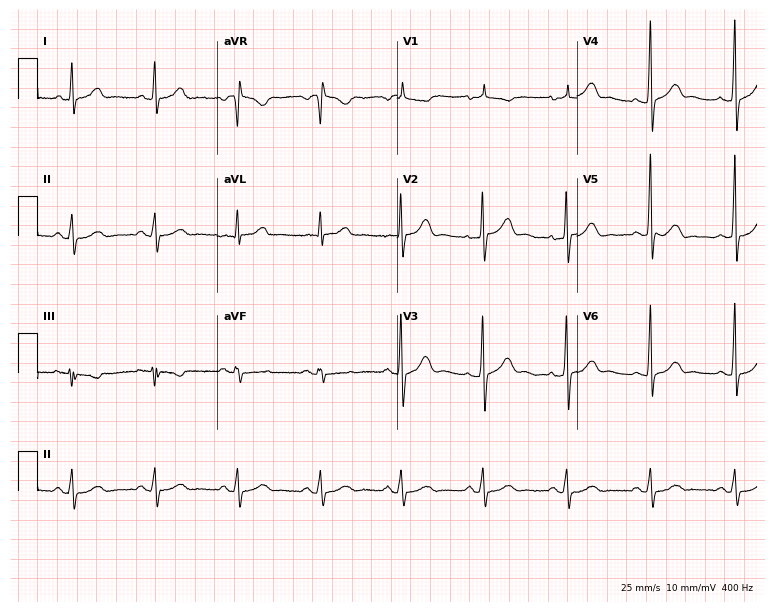
ECG — a female patient, 59 years old. Labelled as a normal ECG.